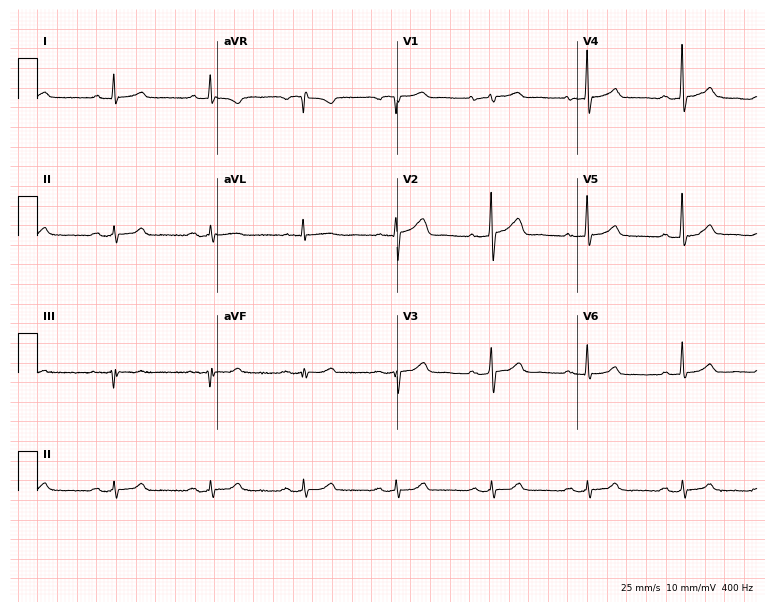
12-lead ECG from a 75-year-old male patient. Recorded interpretation: within normal limits.